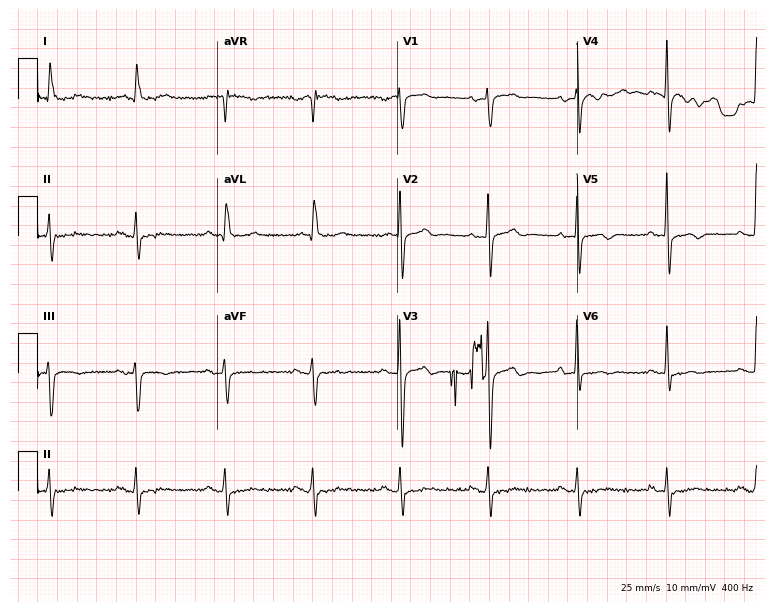
Resting 12-lead electrocardiogram. Patient: a male, 75 years old. None of these six findings is recorded: first-degree AV block, right bundle branch block (RBBB), left bundle branch block (LBBB), sinus bradycardia, atrial fibrillation (AF), sinus tachycardia.